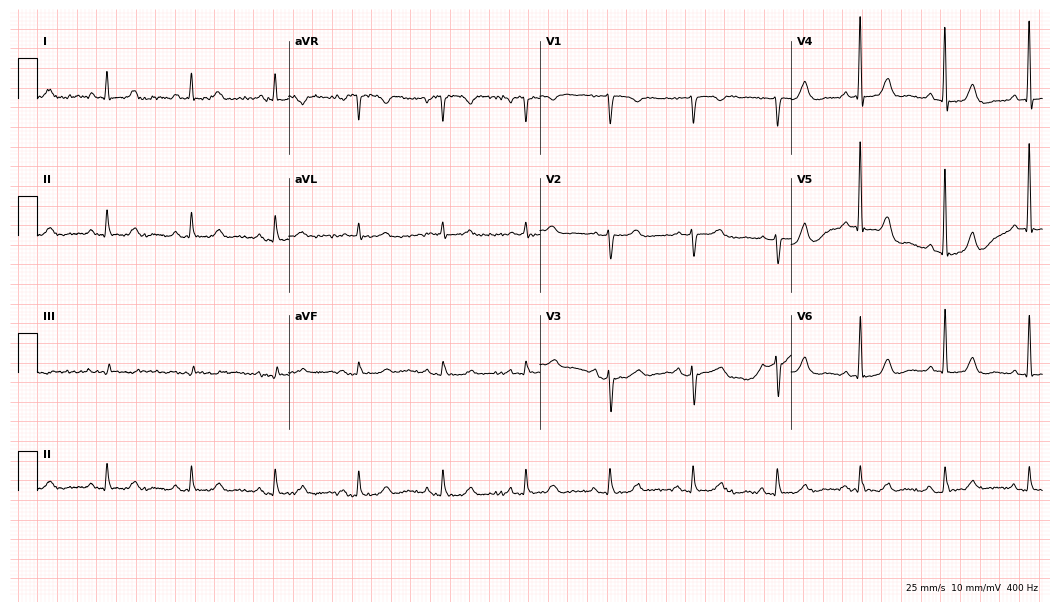
ECG (10.2-second recording at 400 Hz) — an 85-year-old female. Screened for six findings — first-degree AV block, right bundle branch block, left bundle branch block, sinus bradycardia, atrial fibrillation, sinus tachycardia — none is recorded.